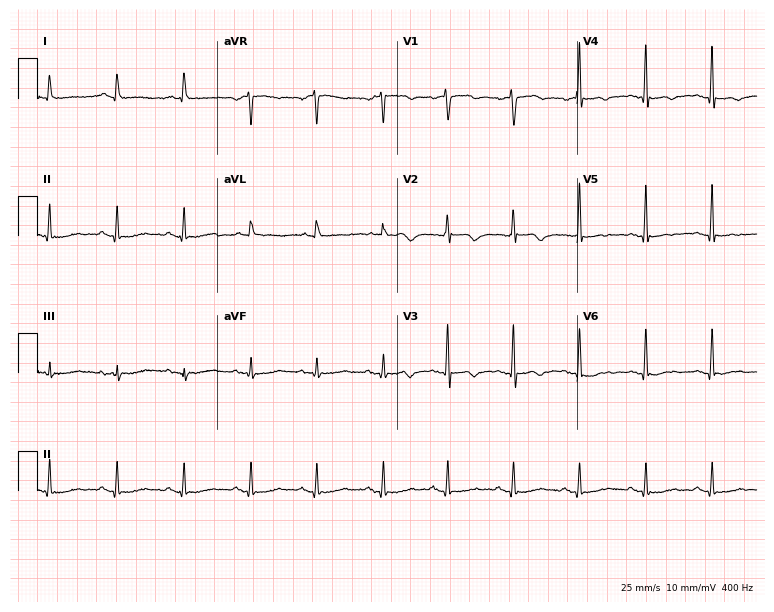
12-lead ECG from an 80-year-old female patient (7.3-second recording at 400 Hz). No first-degree AV block, right bundle branch block (RBBB), left bundle branch block (LBBB), sinus bradycardia, atrial fibrillation (AF) or sinus tachycardia recorded for this tracing.